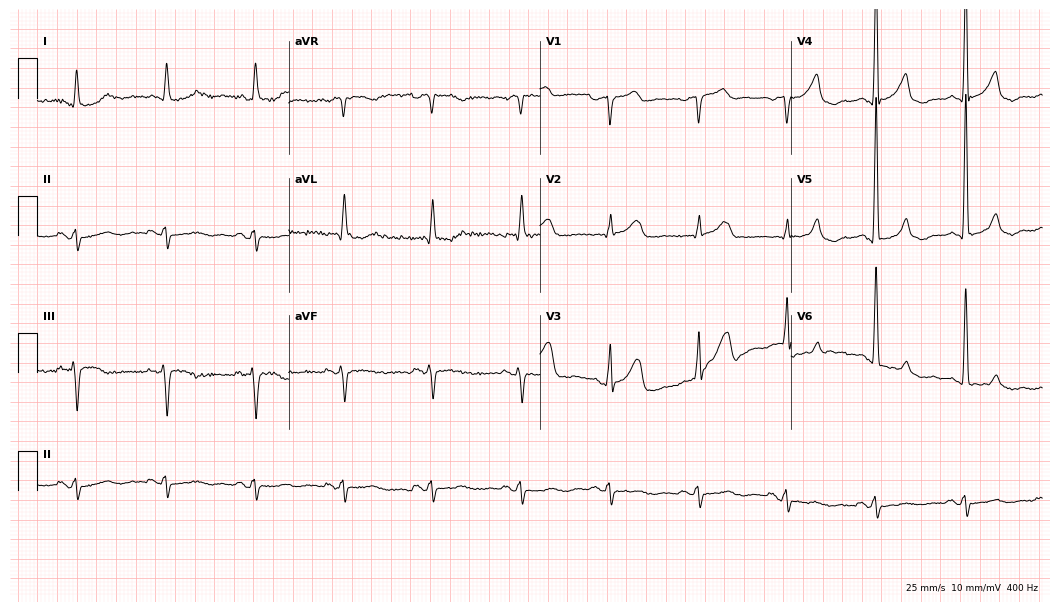
ECG (10.2-second recording at 400 Hz) — an 84-year-old man. Screened for six findings — first-degree AV block, right bundle branch block, left bundle branch block, sinus bradycardia, atrial fibrillation, sinus tachycardia — none is recorded. Only these six findings were labelled.